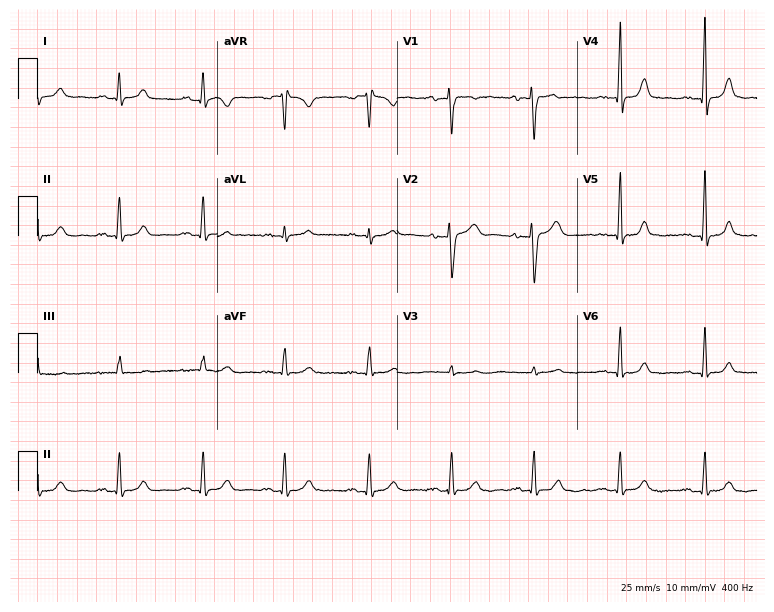
12-lead ECG from a woman, 44 years old. Labelled as a normal ECG.